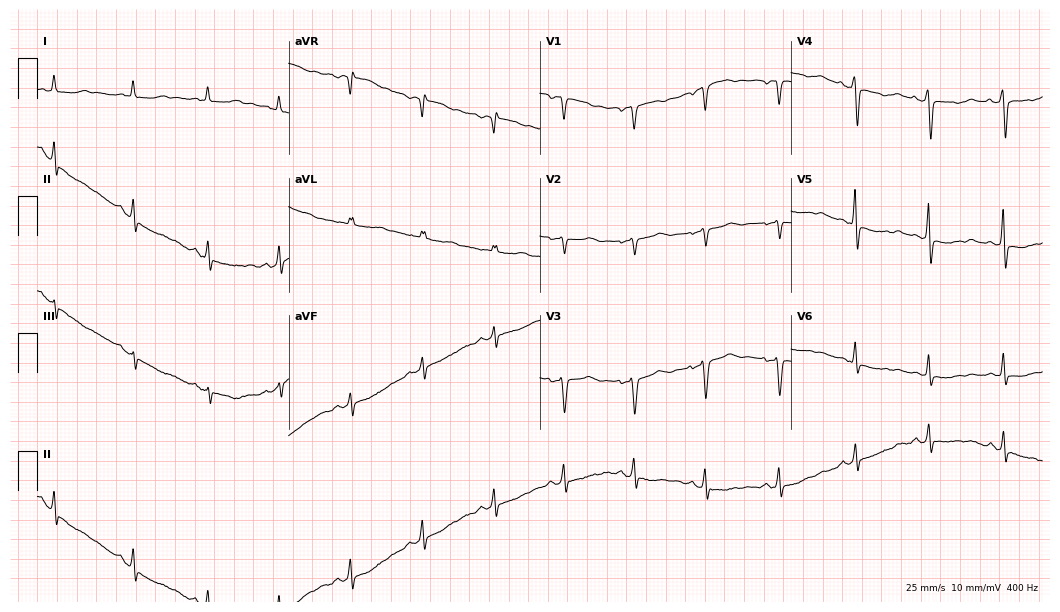
12-lead ECG from a 50-year-old woman. No first-degree AV block, right bundle branch block, left bundle branch block, sinus bradycardia, atrial fibrillation or sinus tachycardia recorded for this tracing.